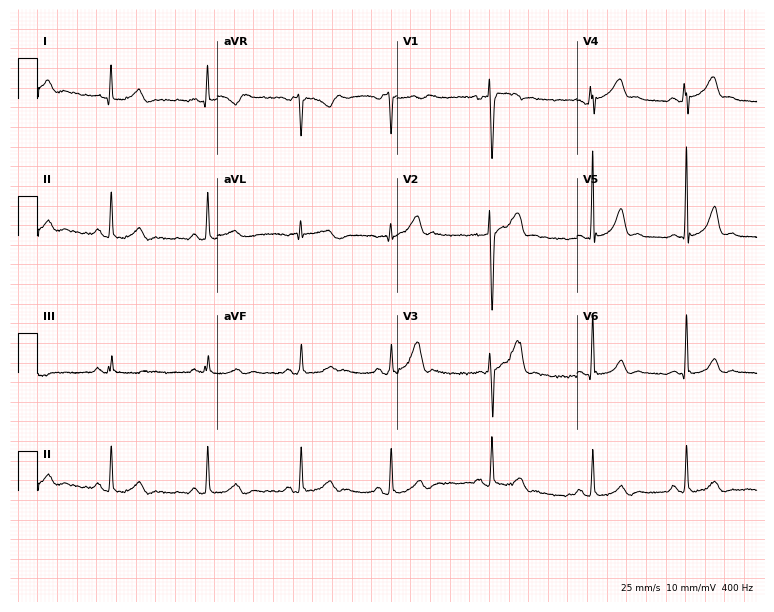
Resting 12-lead electrocardiogram. Patient: a 24-year-old man. Read as a normal ECG.